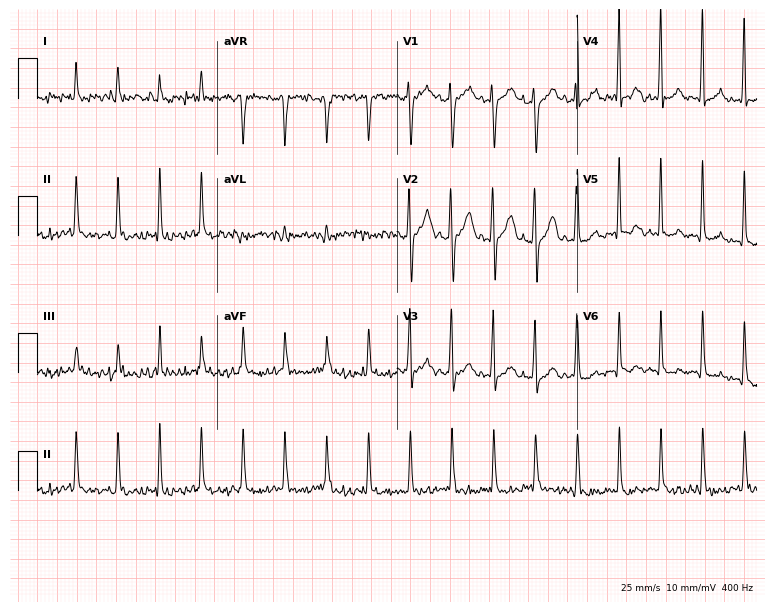
Standard 12-lead ECG recorded from a female, 32 years old. The tracing shows sinus tachycardia (a sinus rate of 100 beats per minute or more).